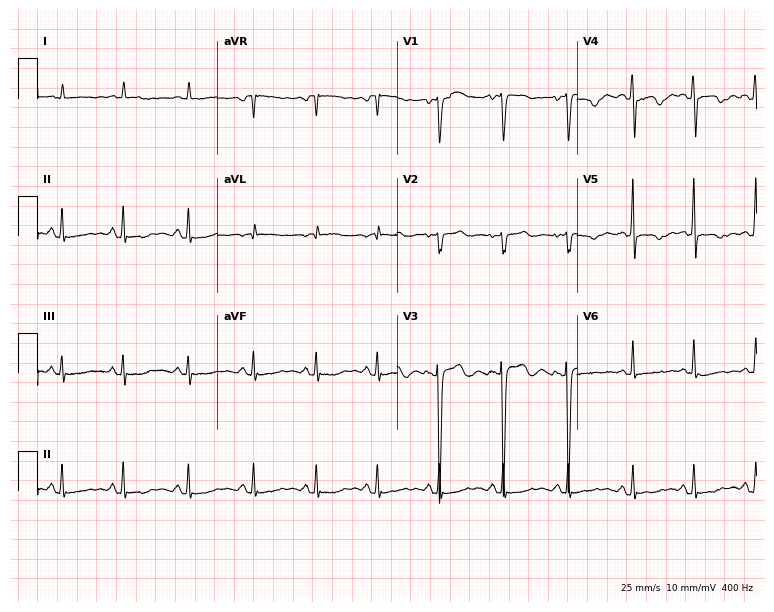
12-lead ECG from a 44-year-old female patient. Screened for six findings — first-degree AV block, right bundle branch block, left bundle branch block, sinus bradycardia, atrial fibrillation, sinus tachycardia — none is recorded.